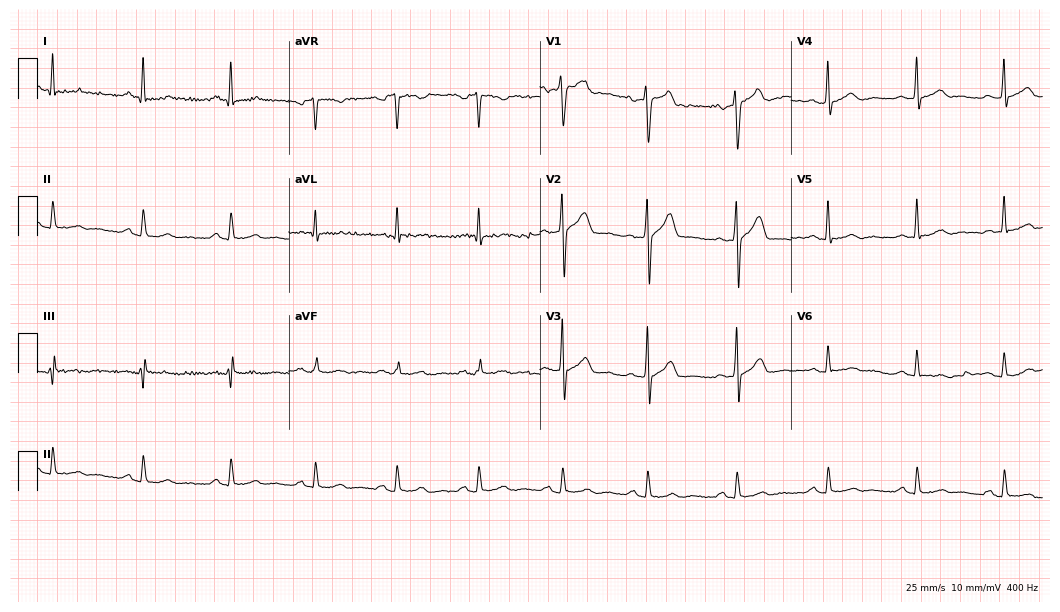
Electrocardiogram, a man, 62 years old. Of the six screened findings (first-degree AV block, right bundle branch block (RBBB), left bundle branch block (LBBB), sinus bradycardia, atrial fibrillation (AF), sinus tachycardia), none is recorded. Other findings, if any, are not listed.